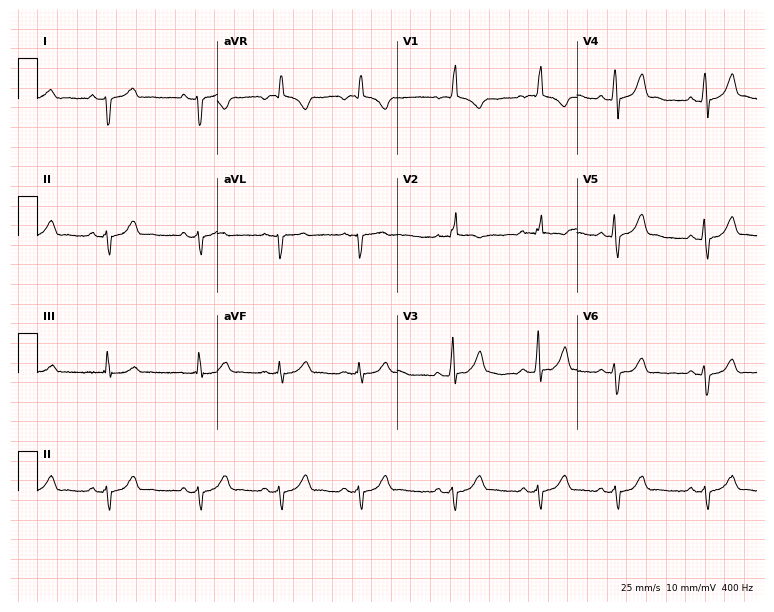
12-lead ECG (7.3-second recording at 400 Hz) from a 23-year-old female. Screened for six findings — first-degree AV block, right bundle branch block, left bundle branch block, sinus bradycardia, atrial fibrillation, sinus tachycardia — none is recorded.